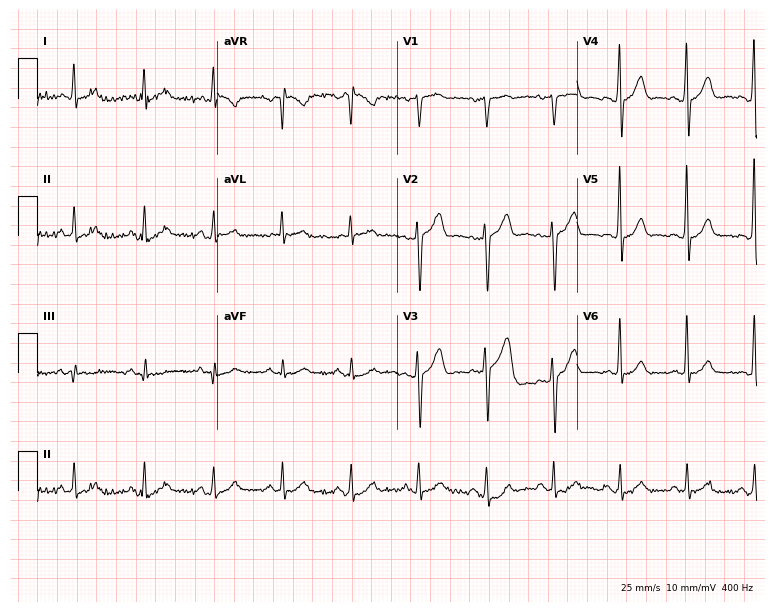
12-lead ECG from a 68-year-old man. Recorded interpretation: within normal limits.